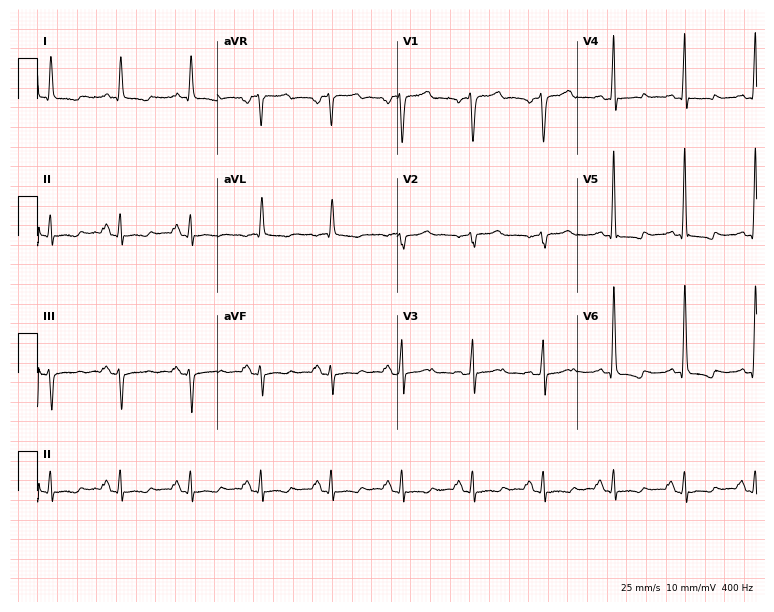
Resting 12-lead electrocardiogram. Patient: a 48-year-old man. None of these six findings is recorded: first-degree AV block, right bundle branch block, left bundle branch block, sinus bradycardia, atrial fibrillation, sinus tachycardia. Findings outside these six are not listed.